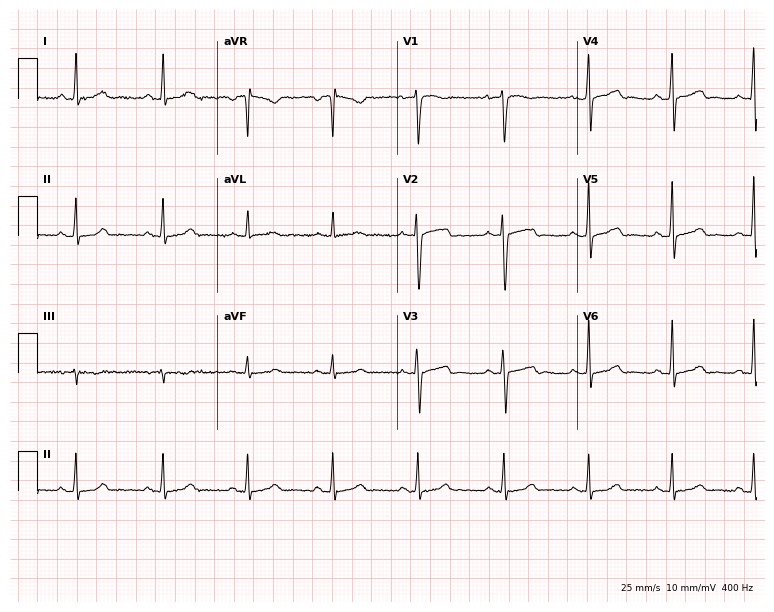
Resting 12-lead electrocardiogram. Patient: a female, 44 years old. Read as a normal ECG.